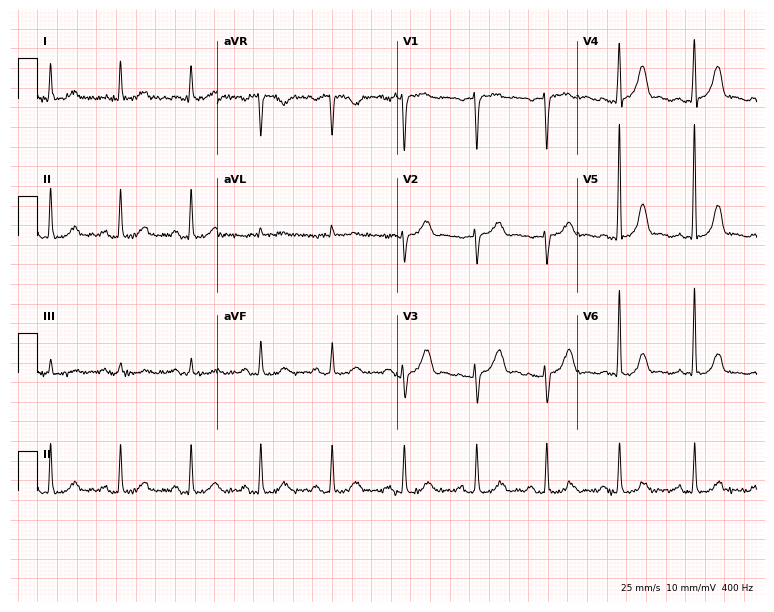
12-lead ECG (7.3-second recording at 400 Hz) from a 60-year-old woman. Labelled as a normal ECG.